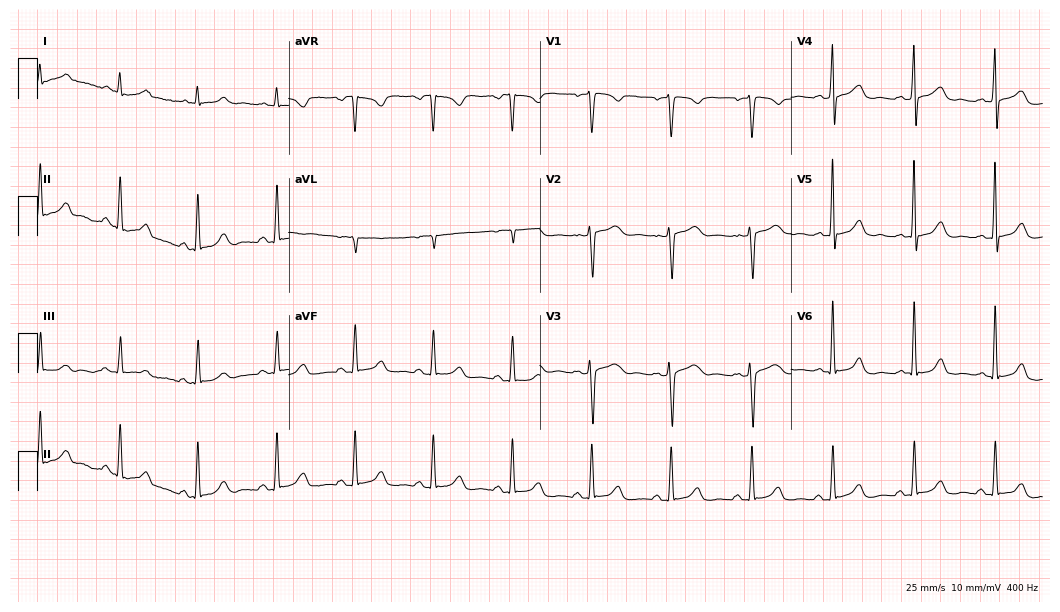
12-lead ECG from a 49-year-old woman. Recorded interpretation: within normal limits.